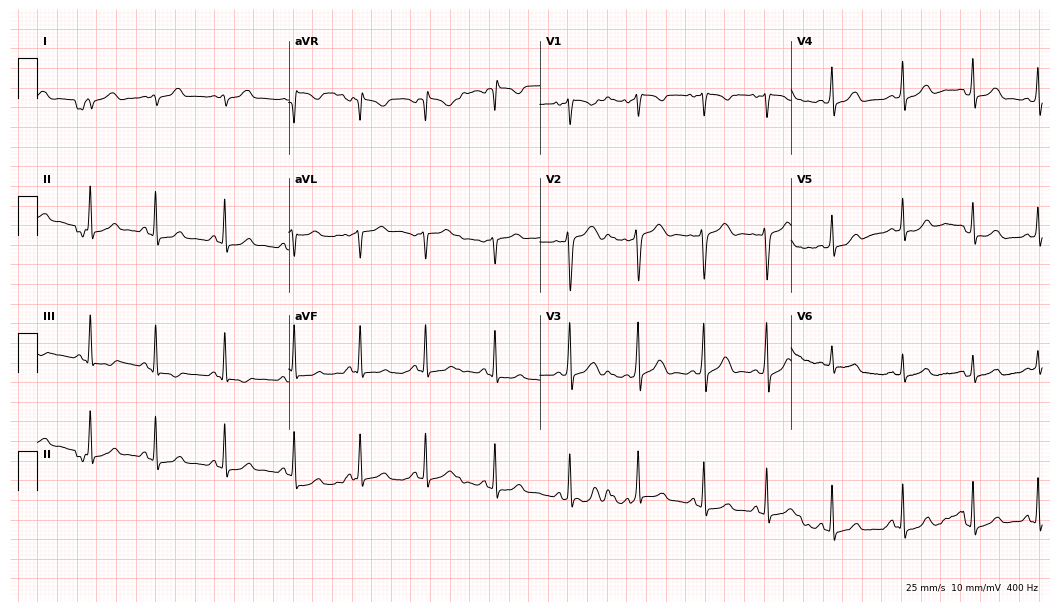
12-lead ECG from a female, 28 years old (10.2-second recording at 400 Hz). No first-degree AV block, right bundle branch block, left bundle branch block, sinus bradycardia, atrial fibrillation or sinus tachycardia recorded for this tracing.